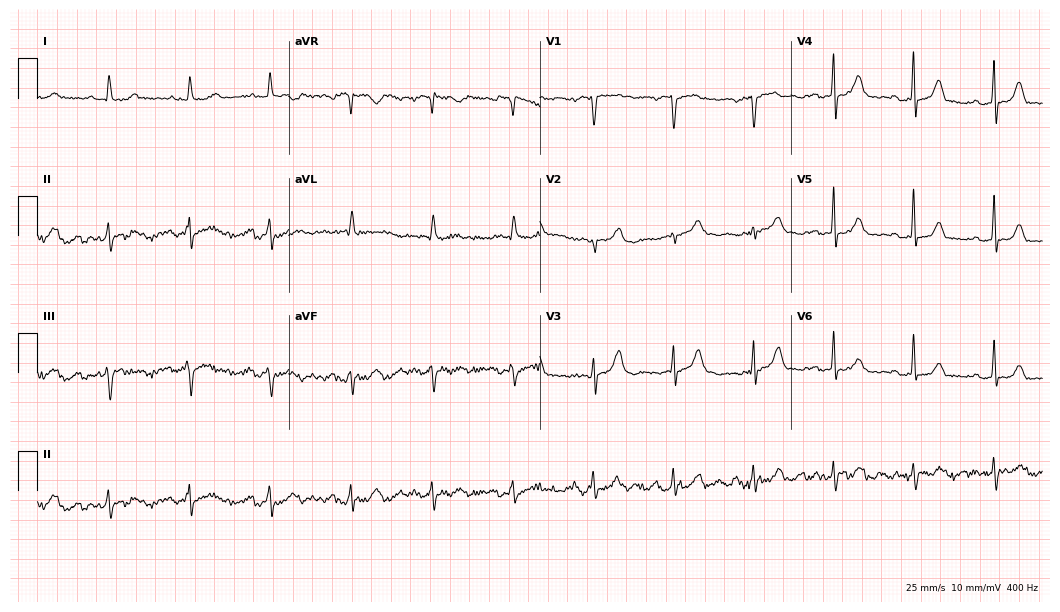
ECG (10.2-second recording at 400 Hz) — a woman, 85 years old. Screened for six findings — first-degree AV block, right bundle branch block (RBBB), left bundle branch block (LBBB), sinus bradycardia, atrial fibrillation (AF), sinus tachycardia — none is recorded. Only these six findings were labelled.